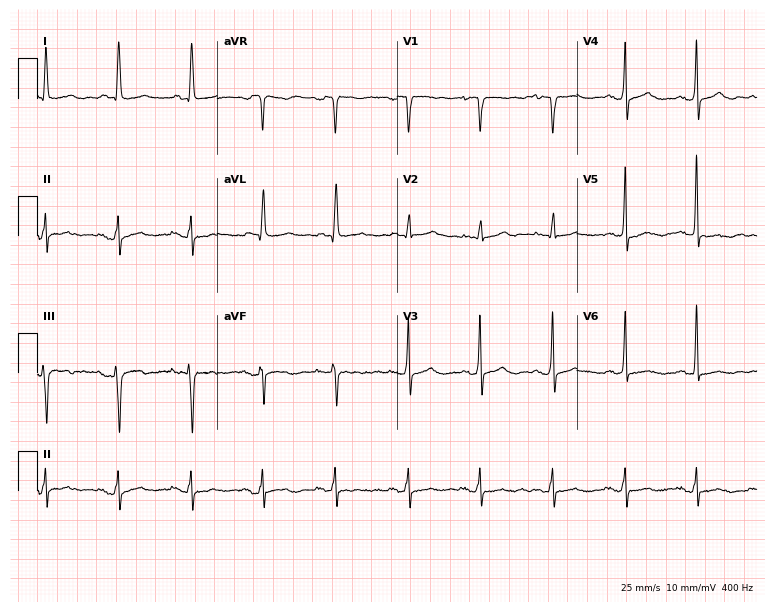
12-lead ECG (7.3-second recording at 400 Hz) from a 66-year-old female. Screened for six findings — first-degree AV block, right bundle branch block, left bundle branch block, sinus bradycardia, atrial fibrillation, sinus tachycardia — none is recorded. Findings outside these six are not listed.